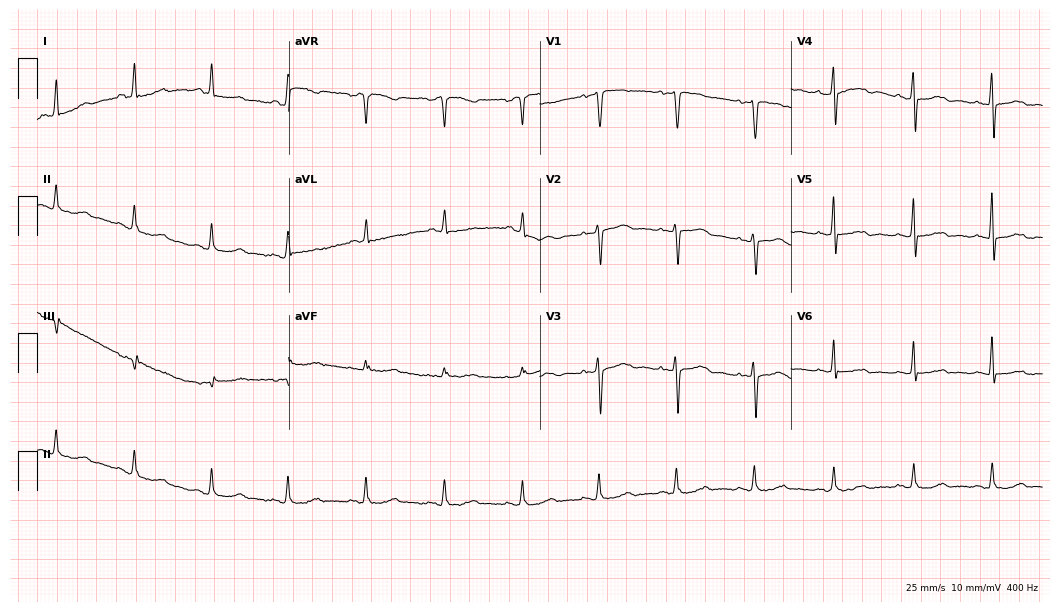
Standard 12-lead ECG recorded from a 58-year-old woman. None of these six findings is recorded: first-degree AV block, right bundle branch block (RBBB), left bundle branch block (LBBB), sinus bradycardia, atrial fibrillation (AF), sinus tachycardia.